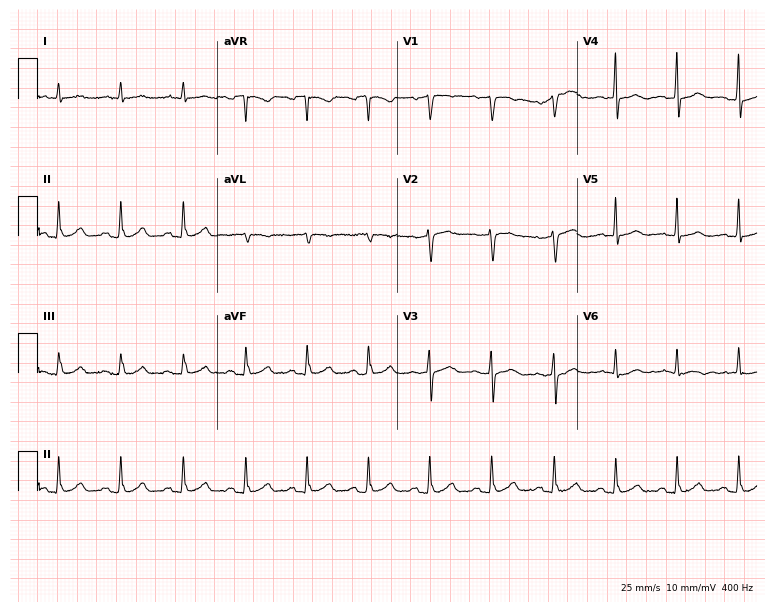
12-lead ECG from a male, 63 years old (7.3-second recording at 400 Hz). No first-degree AV block, right bundle branch block (RBBB), left bundle branch block (LBBB), sinus bradycardia, atrial fibrillation (AF) or sinus tachycardia recorded for this tracing.